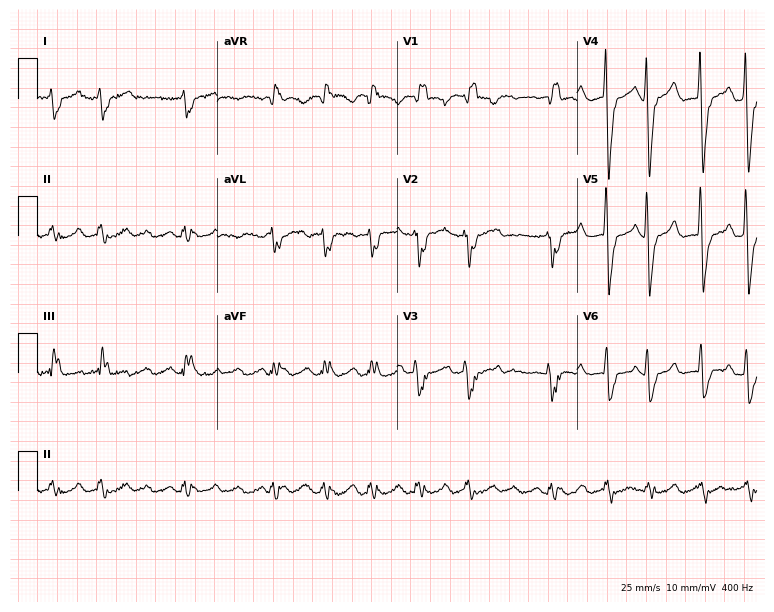
Electrocardiogram, a woman, 76 years old. Interpretation includes right bundle branch block (RBBB), atrial fibrillation (AF).